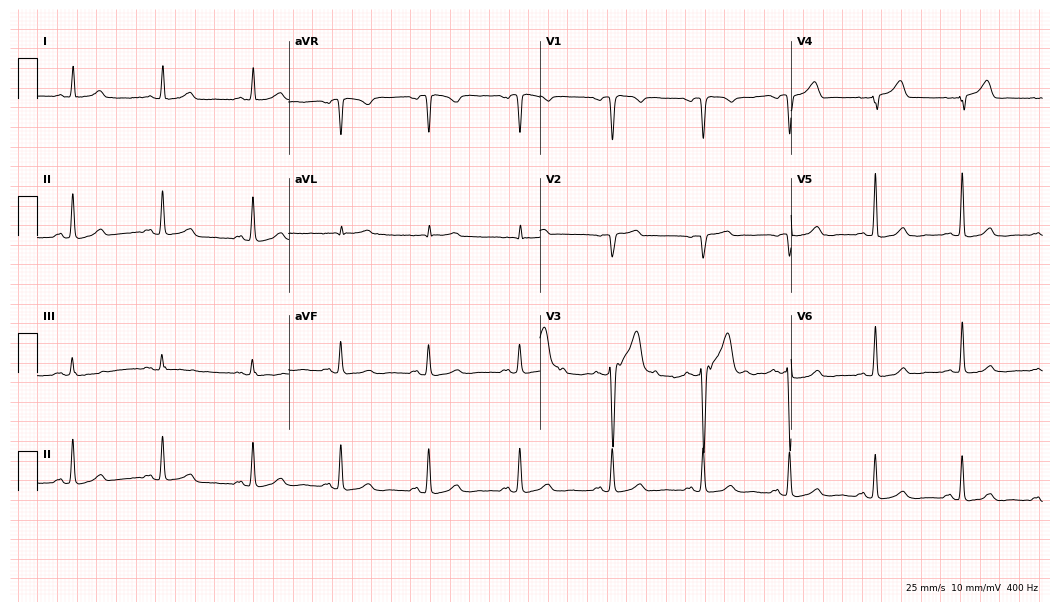
Resting 12-lead electrocardiogram (10.2-second recording at 400 Hz). Patient: a 42-year-old man. None of these six findings is recorded: first-degree AV block, right bundle branch block, left bundle branch block, sinus bradycardia, atrial fibrillation, sinus tachycardia. Findings outside these six are not listed.